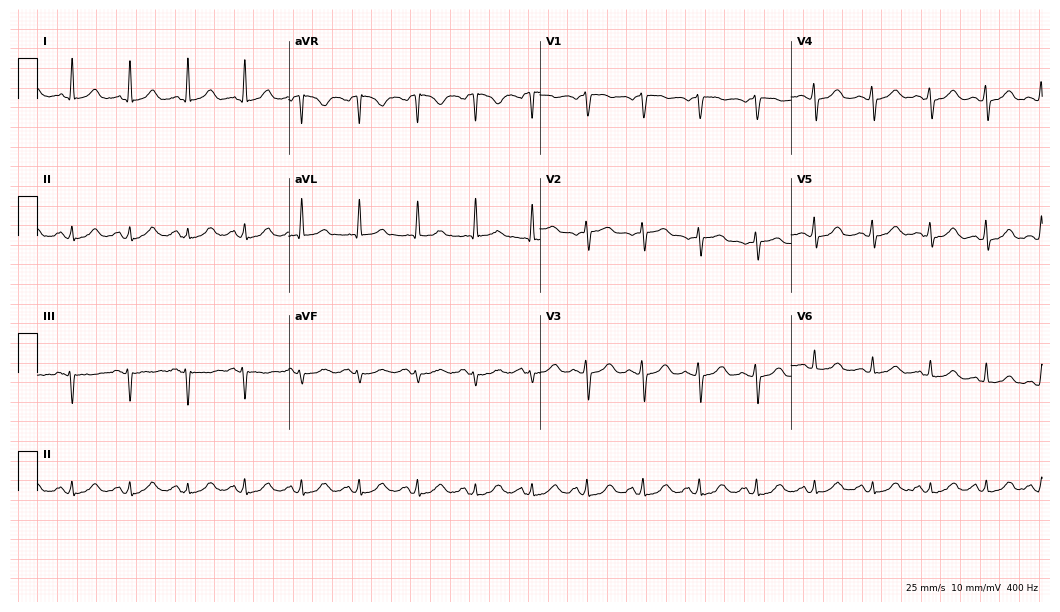
ECG (10.2-second recording at 400 Hz) — a 56-year-old woman. Findings include sinus tachycardia (a sinus rate of 100 beats per minute or more).